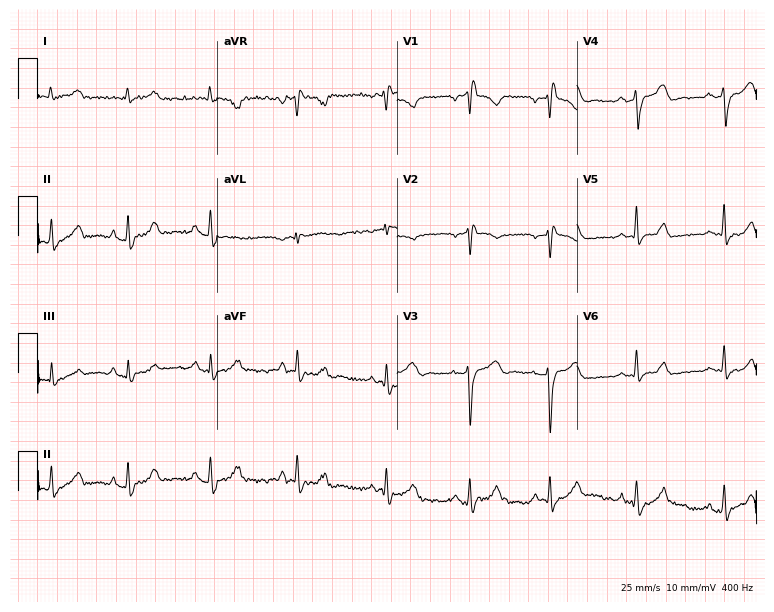
Standard 12-lead ECG recorded from a female, 34 years old. None of these six findings is recorded: first-degree AV block, right bundle branch block, left bundle branch block, sinus bradycardia, atrial fibrillation, sinus tachycardia.